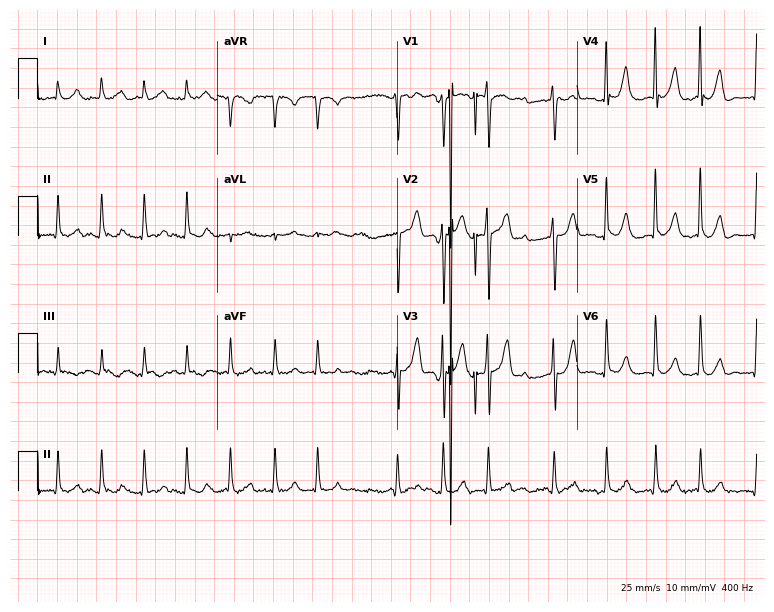
Resting 12-lead electrocardiogram. Patient: a male, 67 years old. The tracing shows atrial fibrillation, sinus tachycardia (a sinus rate of 100 beats per minute or more).